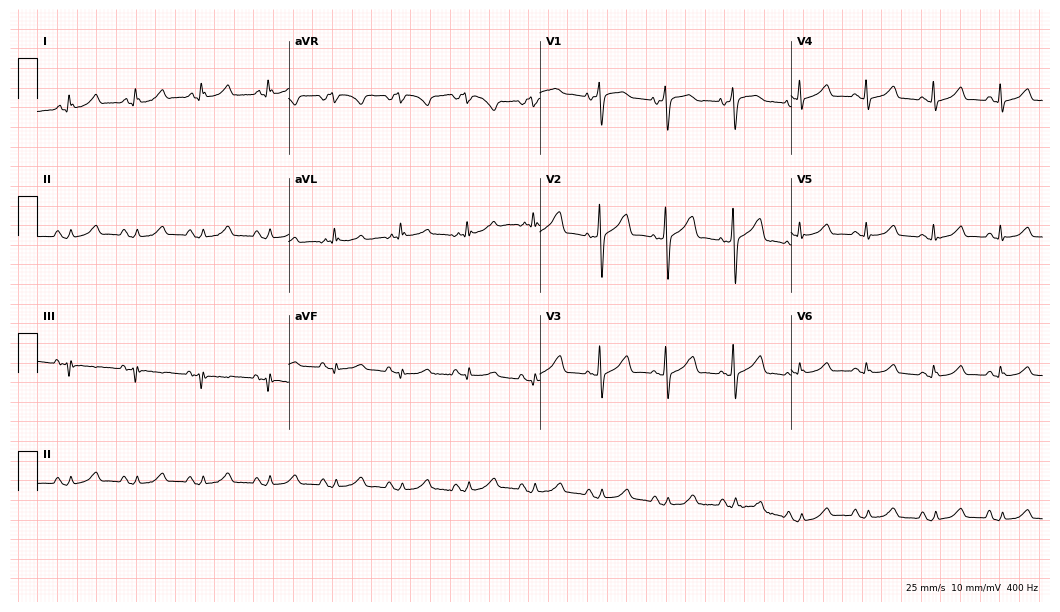
Standard 12-lead ECG recorded from an 80-year-old woman. None of these six findings is recorded: first-degree AV block, right bundle branch block (RBBB), left bundle branch block (LBBB), sinus bradycardia, atrial fibrillation (AF), sinus tachycardia.